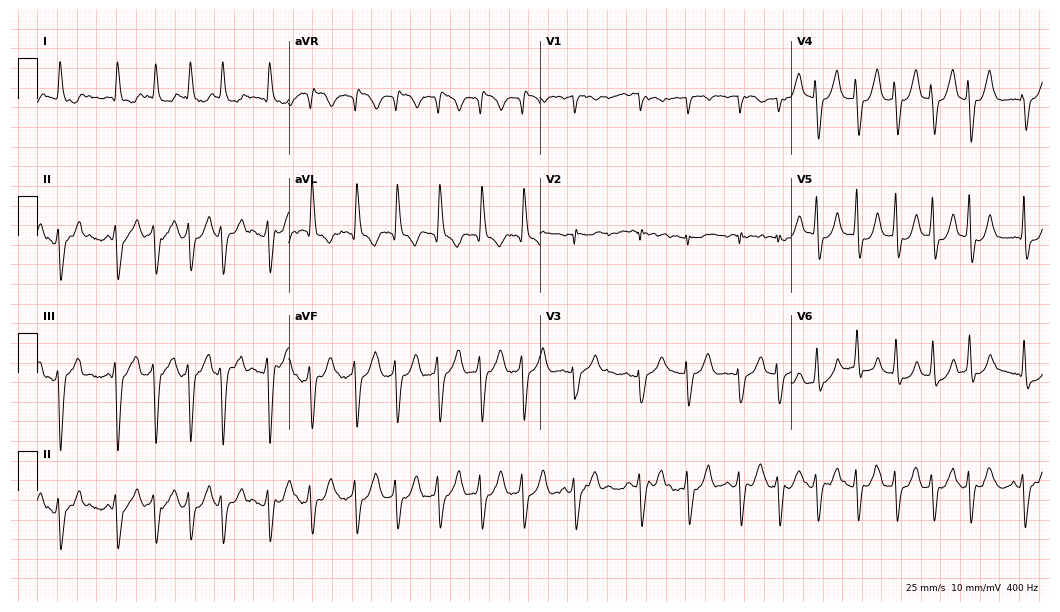
Resting 12-lead electrocardiogram (10.2-second recording at 400 Hz). Patient: an 81-year-old female. None of these six findings is recorded: first-degree AV block, right bundle branch block (RBBB), left bundle branch block (LBBB), sinus bradycardia, atrial fibrillation (AF), sinus tachycardia.